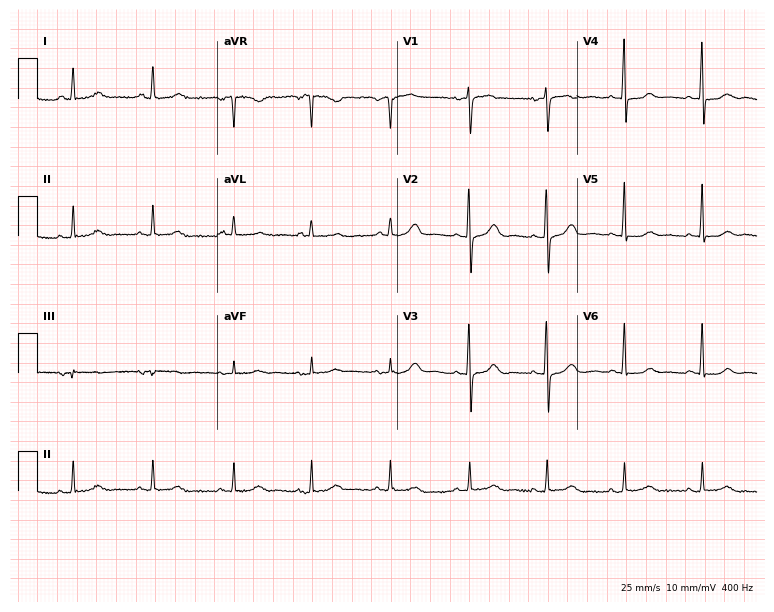
Standard 12-lead ECG recorded from a 63-year-old woman (7.3-second recording at 400 Hz). Read as a normal ECG.